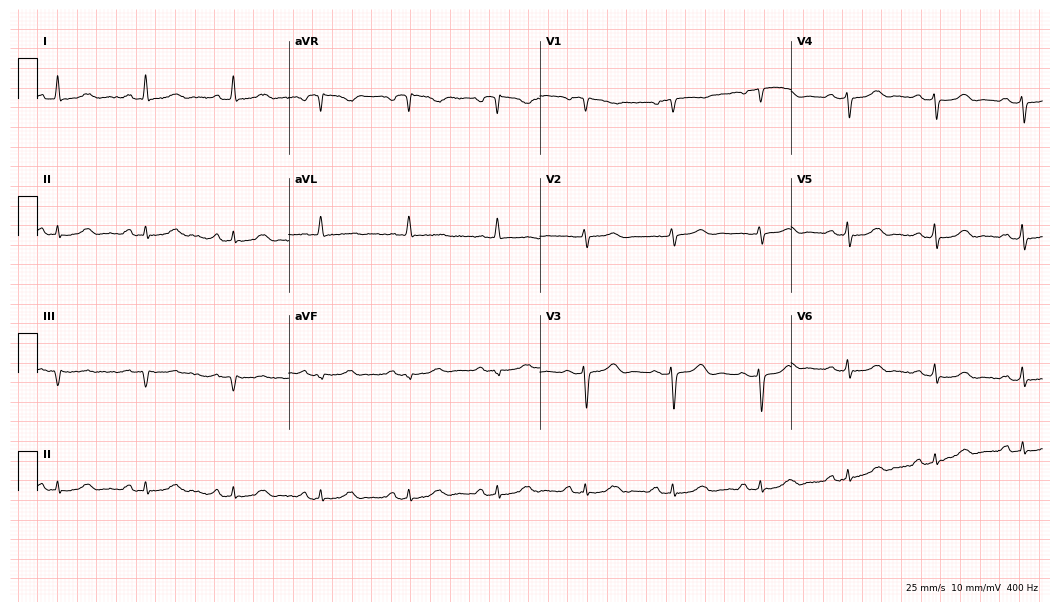
ECG (10.2-second recording at 400 Hz) — an 84-year-old female patient. Screened for six findings — first-degree AV block, right bundle branch block, left bundle branch block, sinus bradycardia, atrial fibrillation, sinus tachycardia — none is recorded.